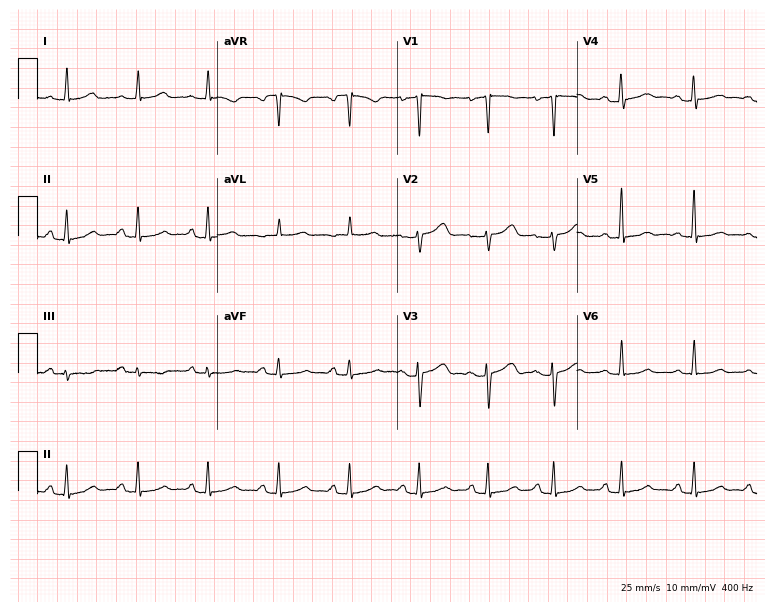
12-lead ECG from a 46-year-old woman. Screened for six findings — first-degree AV block, right bundle branch block, left bundle branch block, sinus bradycardia, atrial fibrillation, sinus tachycardia — none is recorded. Findings outside these six are not listed.